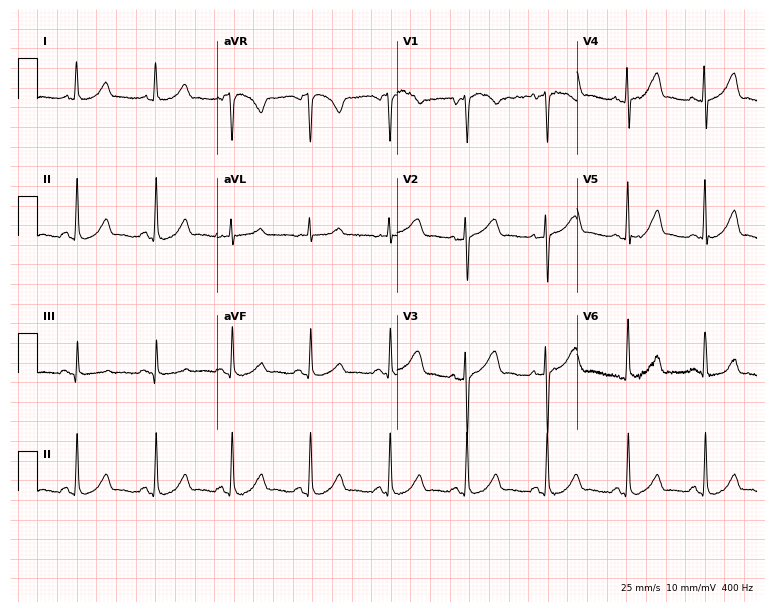
12-lead ECG from a female, 51 years old (7.3-second recording at 400 Hz). Recorded interpretation: within normal limits.